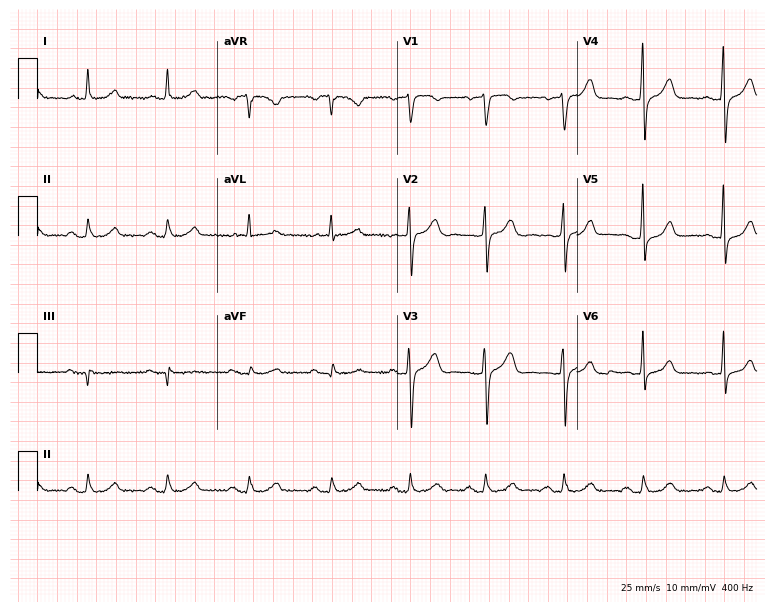
Resting 12-lead electrocardiogram (7.3-second recording at 400 Hz). Patient: a female, 64 years old. Read as a normal ECG.